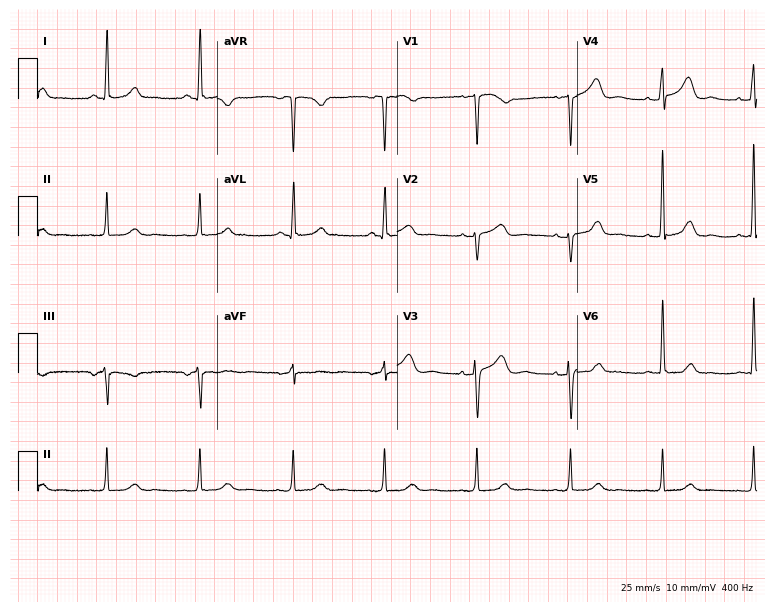
Electrocardiogram, a 68-year-old female. Of the six screened findings (first-degree AV block, right bundle branch block, left bundle branch block, sinus bradycardia, atrial fibrillation, sinus tachycardia), none is recorded. Other findings, if any, are not listed.